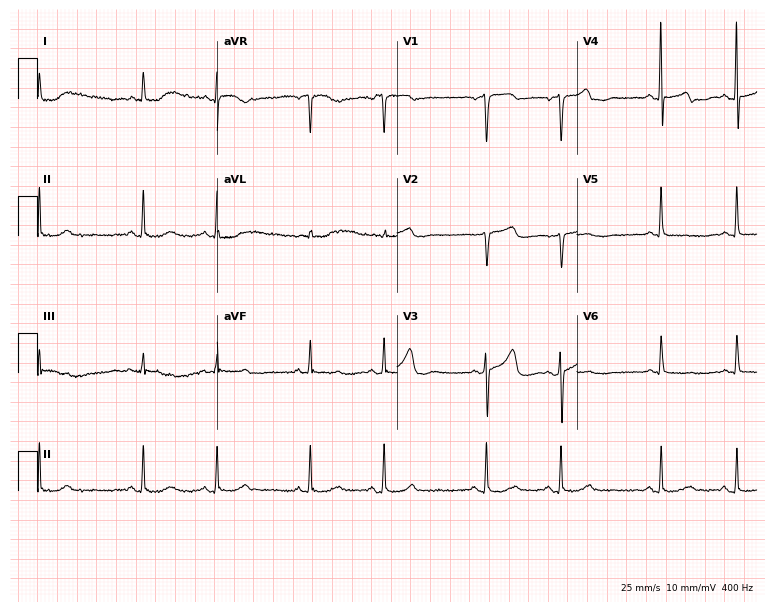
Electrocardiogram, a female patient, 78 years old. Of the six screened findings (first-degree AV block, right bundle branch block (RBBB), left bundle branch block (LBBB), sinus bradycardia, atrial fibrillation (AF), sinus tachycardia), none is recorded.